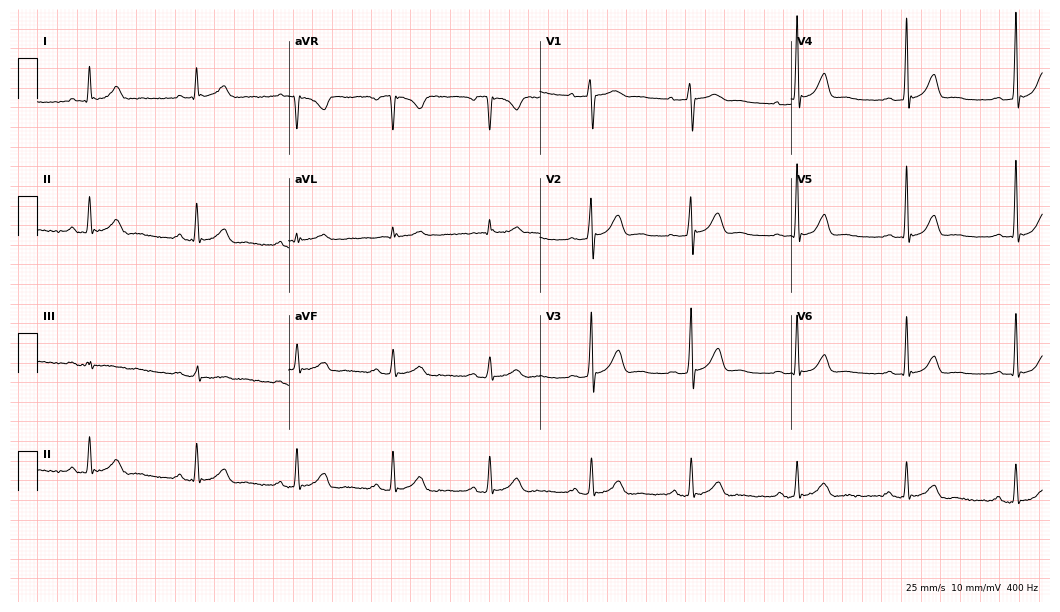
ECG (10.2-second recording at 400 Hz) — a 54-year-old male patient. Labelled as a normal ECG.